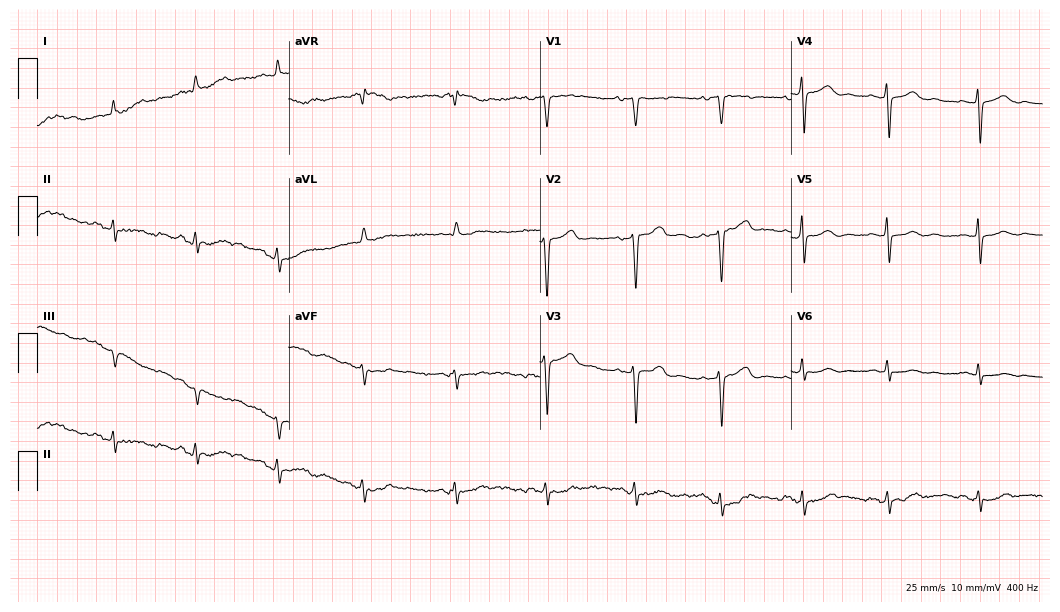
Electrocardiogram (10.2-second recording at 400 Hz), a woman, 60 years old. Of the six screened findings (first-degree AV block, right bundle branch block, left bundle branch block, sinus bradycardia, atrial fibrillation, sinus tachycardia), none is recorded. Findings outside these six are not listed.